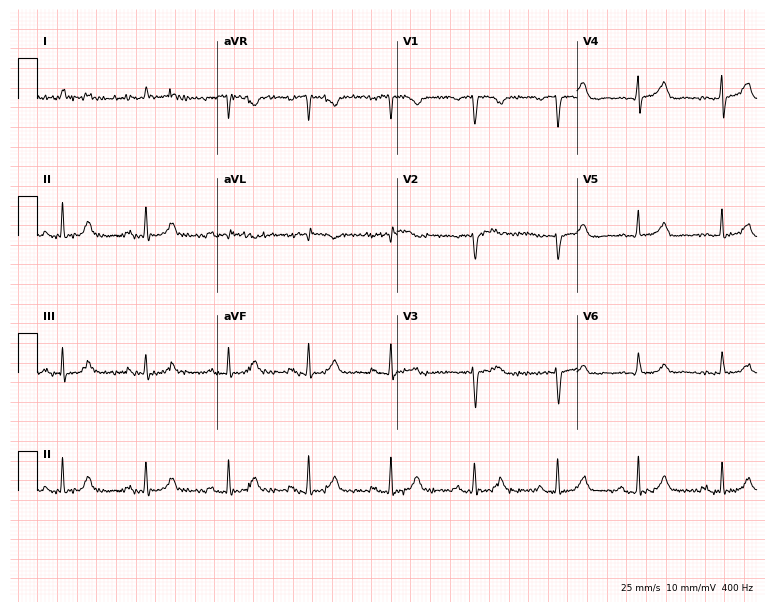
12-lead ECG (7.3-second recording at 400 Hz) from an 82-year-old man. Labelled as a normal ECG.